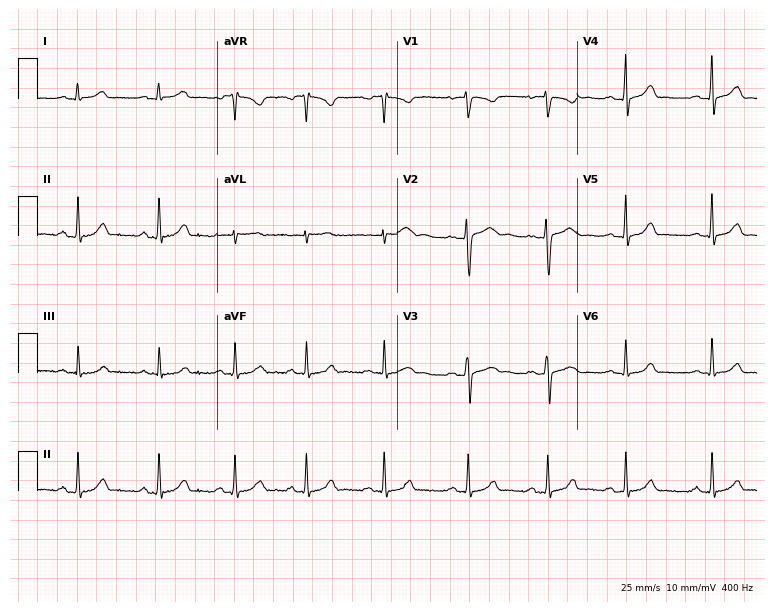
ECG (7.3-second recording at 400 Hz) — a 22-year-old woman. Labelled as a normal ECG.